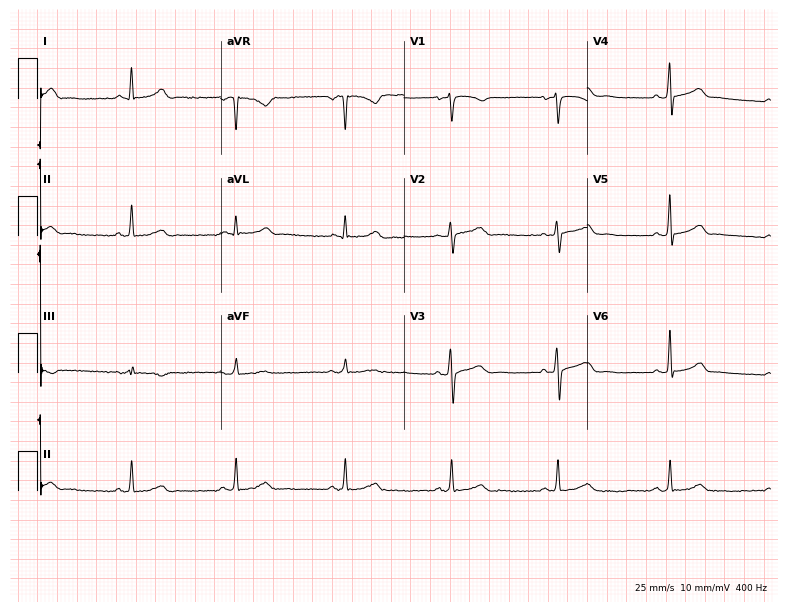
Resting 12-lead electrocardiogram. Patient: a female, 32 years old. Read as a normal ECG.